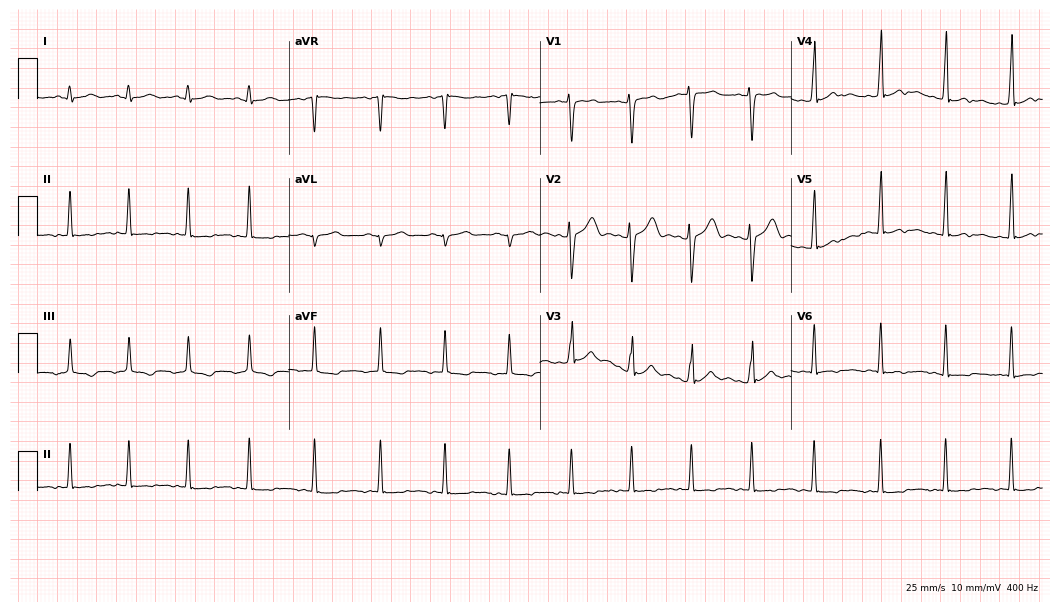
ECG — a 25-year-old male patient. Screened for six findings — first-degree AV block, right bundle branch block, left bundle branch block, sinus bradycardia, atrial fibrillation, sinus tachycardia — none is recorded.